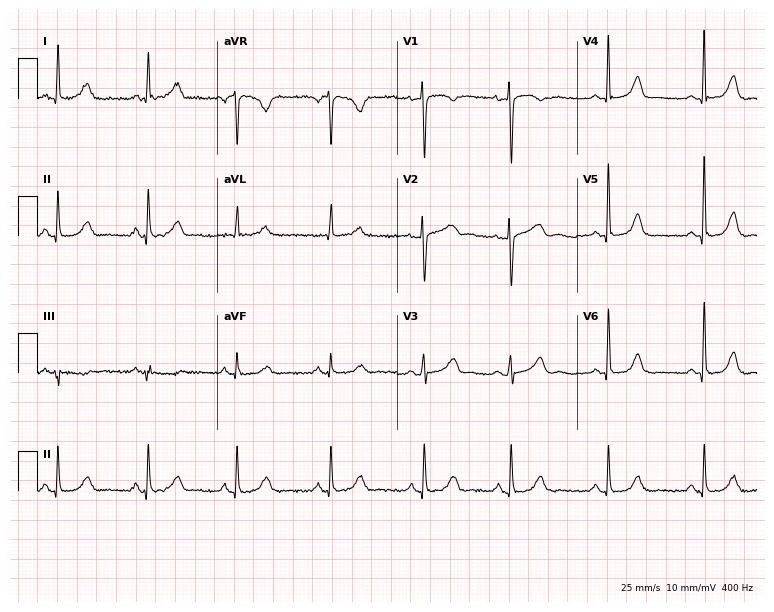
Standard 12-lead ECG recorded from a woman, 65 years old (7.3-second recording at 400 Hz). Read as a normal ECG.